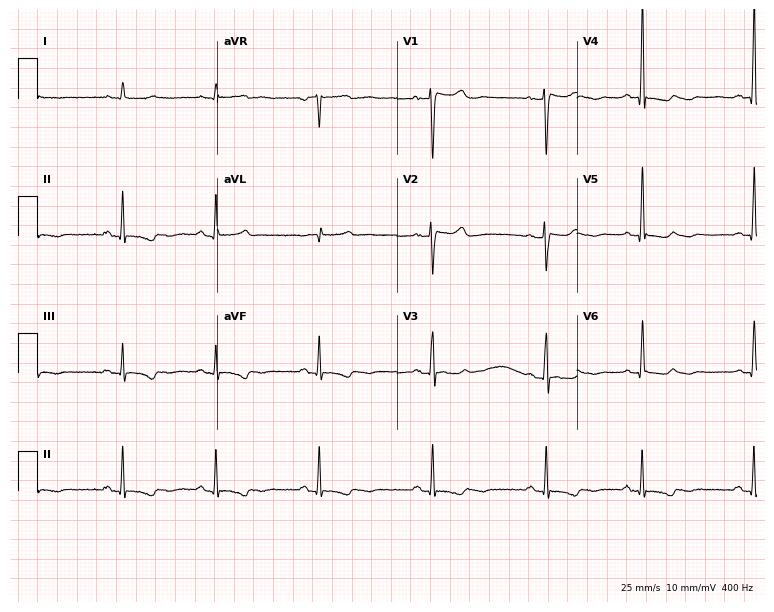
Standard 12-lead ECG recorded from a 53-year-old female patient (7.3-second recording at 400 Hz). None of these six findings is recorded: first-degree AV block, right bundle branch block, left bundle branch block, sinus bradycardia, atrial fibrillation, sinus tachycardia. Only these six findings were labelled.